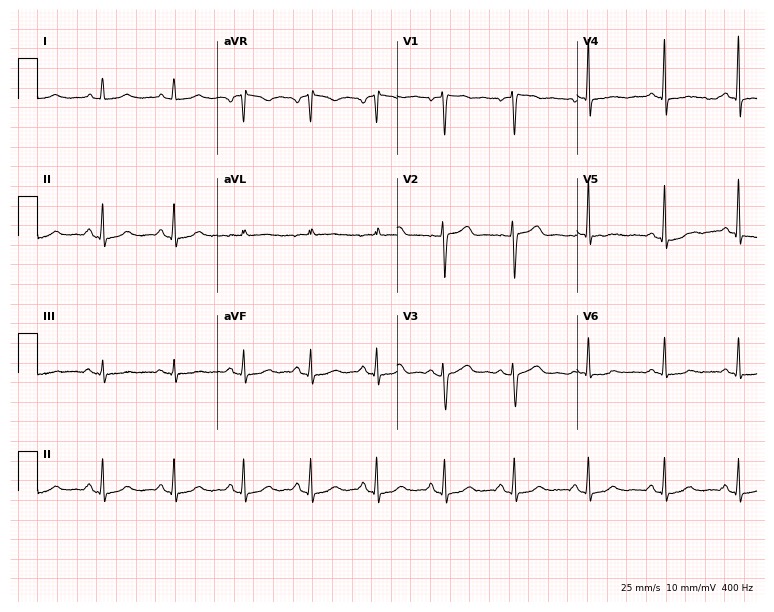
Resting 12-lead electrocardiogram (7.3-second recording at 400 Hz). Patient: a 44-year-old woman. Read as a normal ECG.